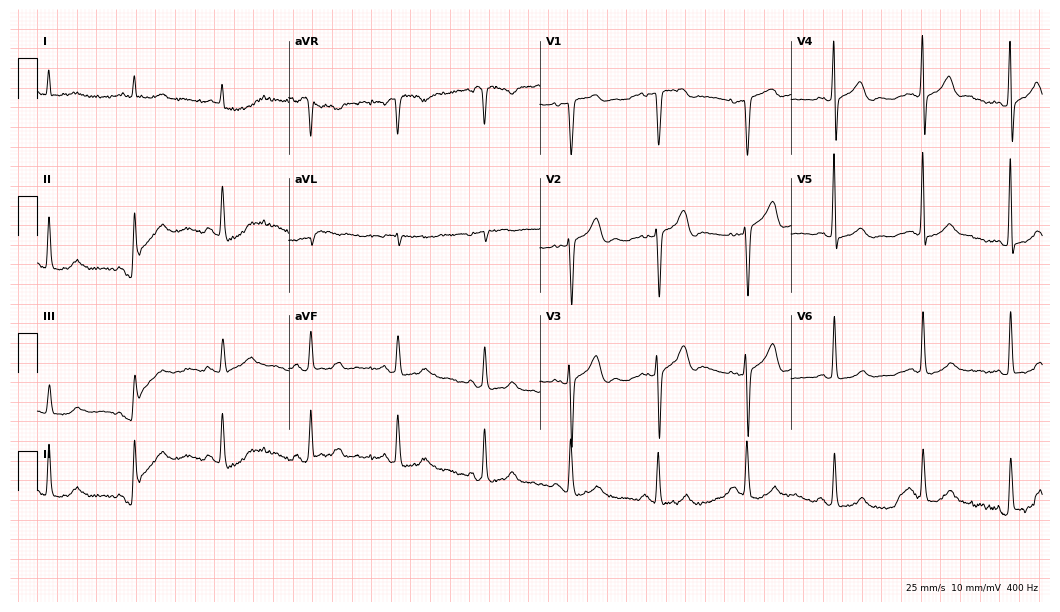
Electrocardiogram (10.2-second recording at 400 Hz), a male, 82 years old. Of the six screened findings (first-degree AV block, right bundle branch block (RBBB), left bundle branch block (LBBB), sinus bradycardia, atrial fibrillation (AF), sinus tachycardia), none is recorded.